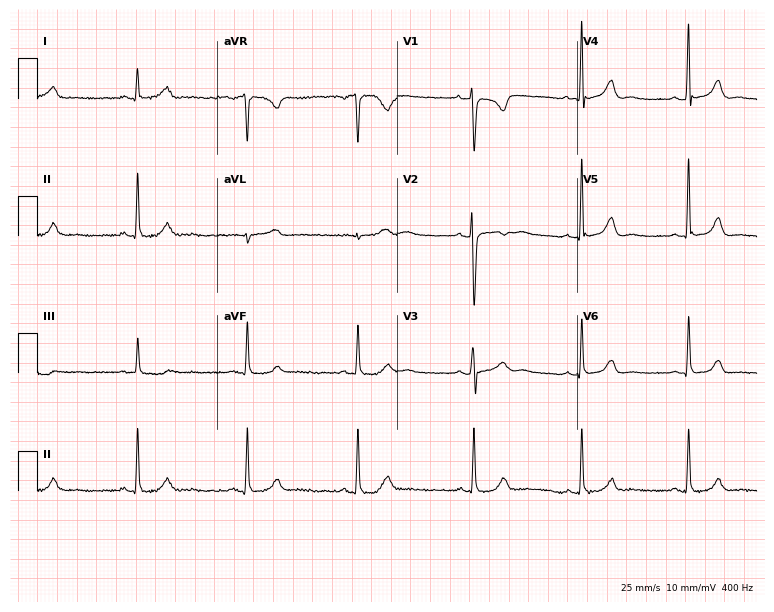
12-lead ECG (7.3-second recording at 400 Hz) from an 18-year-old female patient. Labelled as a normal ECG.